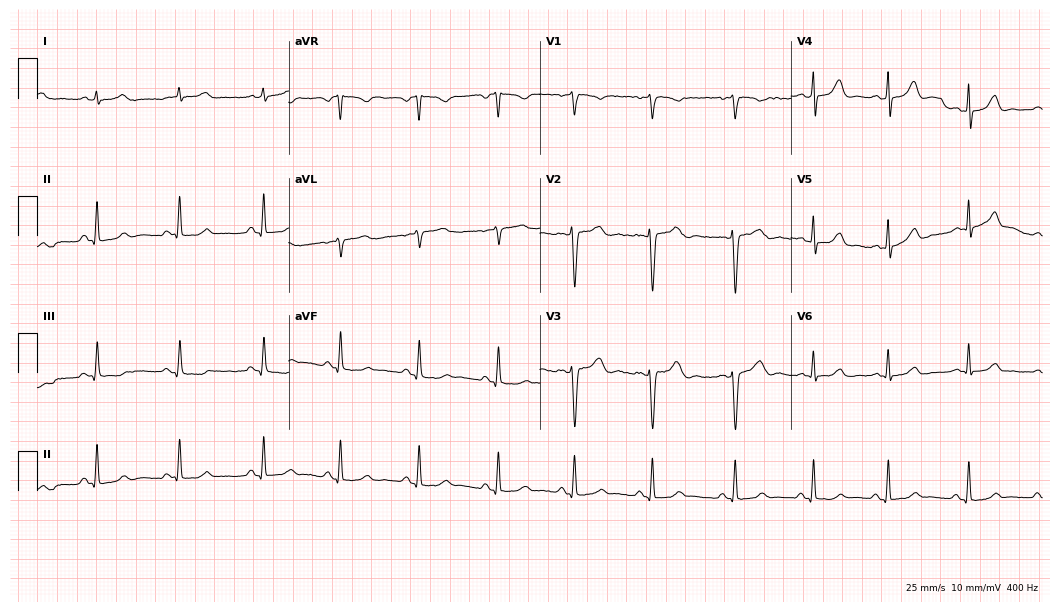
12-lead ECG from a woman, 30 years old. Labelled as a normal ECG.